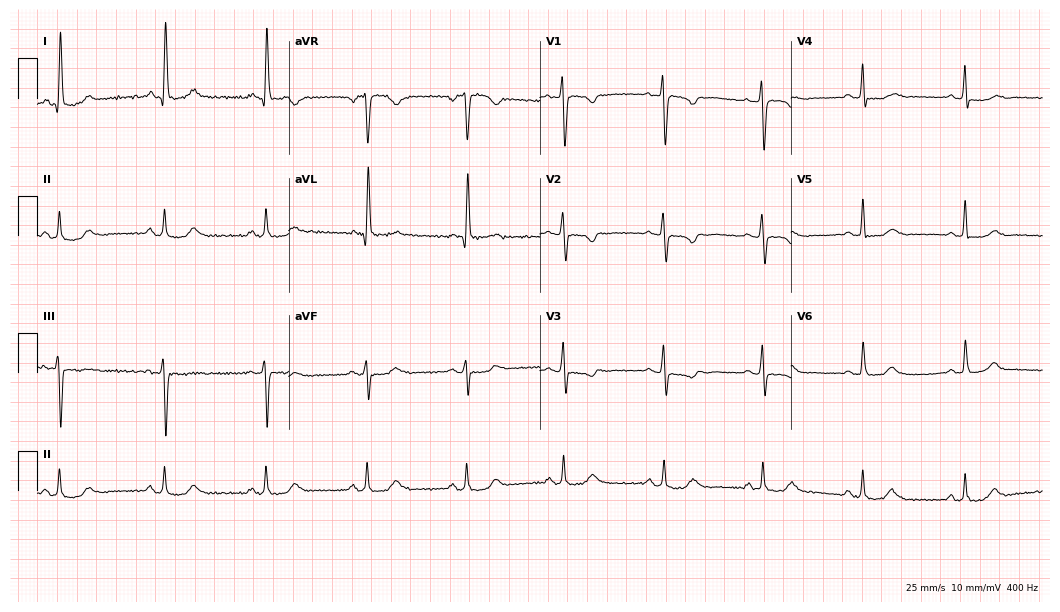
12-lead ECG from a 70-year-old woman. Screened for six findings — first-degree AV block, right bundle branch block, left bundle branch block, sinus bradycardia, atrial fibrillation, sinus tachycardia — none is recorded.